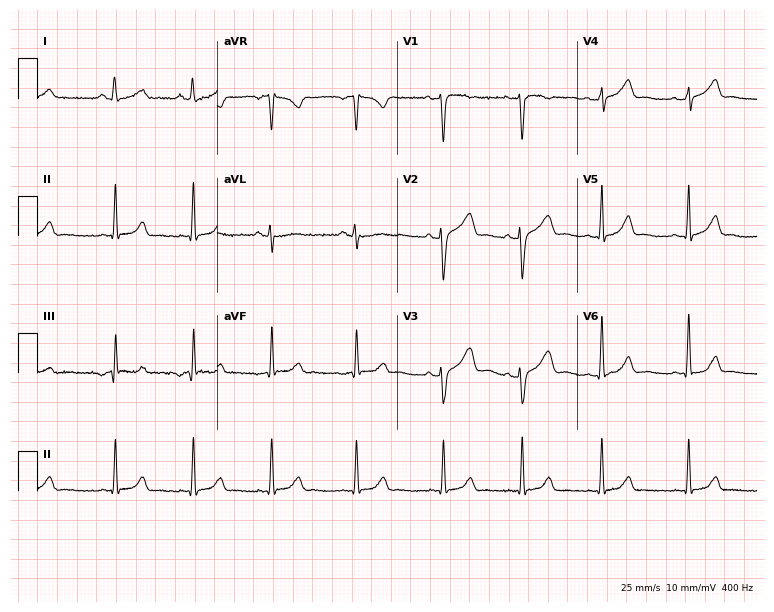
12-lead ECG (7.3-second recording at 400 Hz) from a 25-year-old woman. Labelled as a normal ECG.